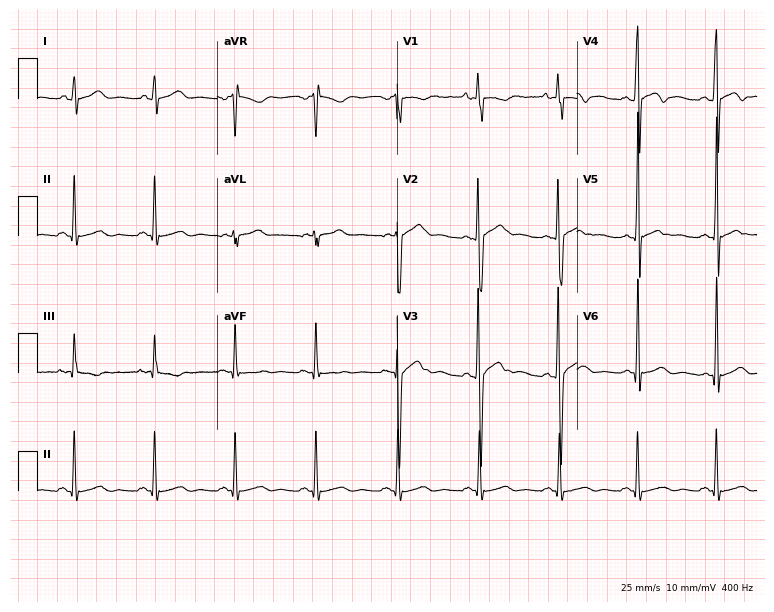
Standard 12-lead ECG recorded from an 18-year-old male (7.3-second recording at 400 Hz). None of these six findings is recorded: first-degree AV block, right bundle branch block, left bundle branch block, sinus bradycardia, atrial fibrillation, sinus tachycardia. Only these six findings were labelled.